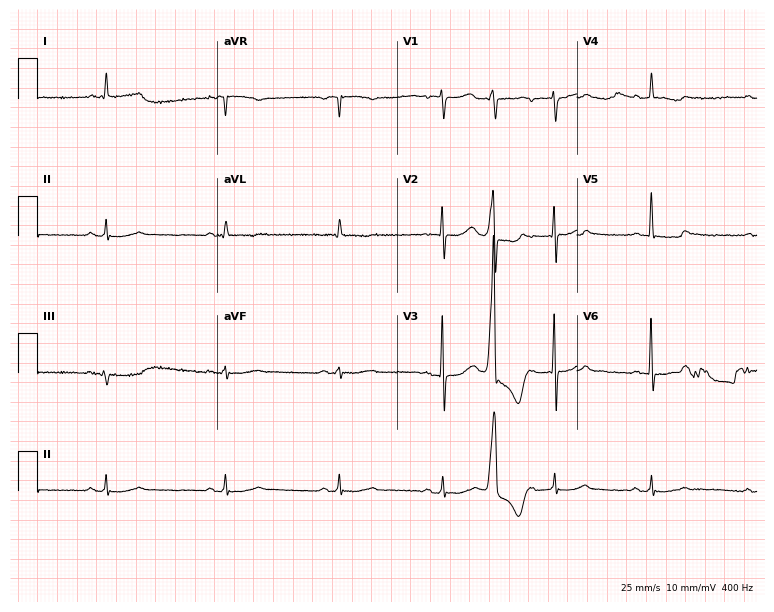
12-lead ECG (7.3-second recording at 400 Hz) from a man, 81 years old. Screened for six findings — first-degree AV block, right bundle branch block, left bundle branch block, sinus bradycardia, atrial fibrillation, sinus tachycardia — none is recorded. Other findings, if any, are not listed.